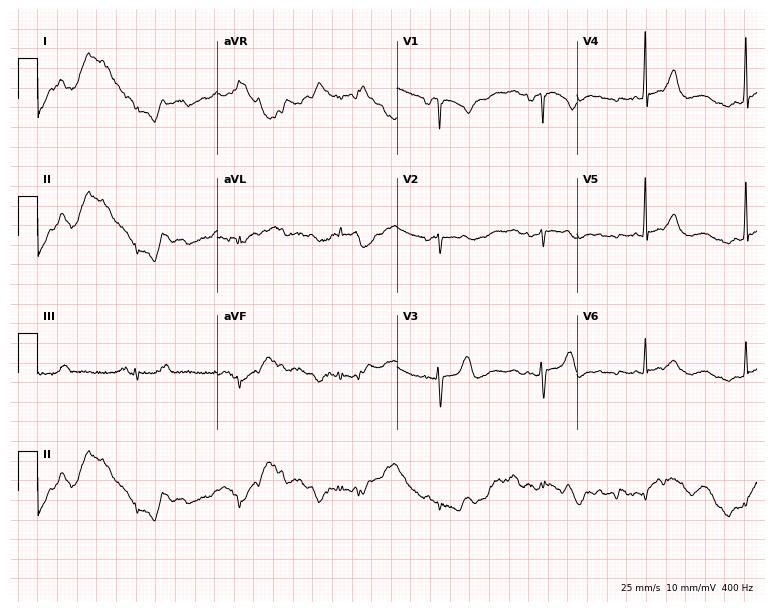
ECG (7.3-second recording at 400 Hz) — an 81-year-old female patient. Screened for six findings — first-degree AV block, right bundle branch block, left bundle branch block, sinus bradycardia, atrial fibrillation, sinus tachycardia — none is recorded. Findings outside these six are not listed.